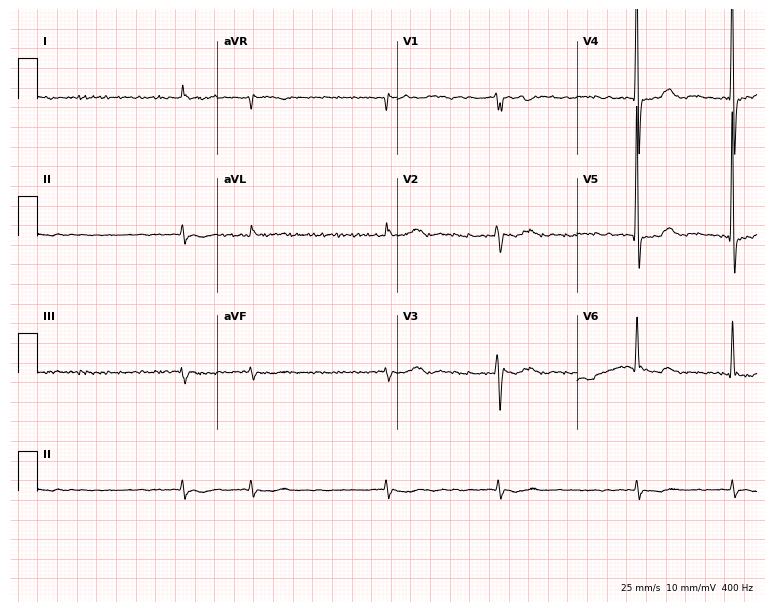
Electrocardiogram, a male, 80 years old. Interpretation includes atrial fibrillation (AF).